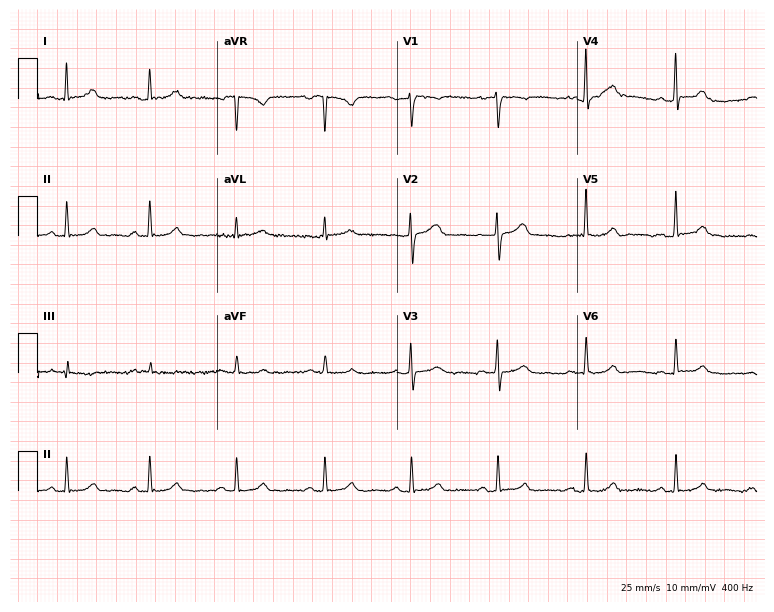
12-lead ECG (7.3-second recording at 400 Hz) from a woman, 41 years old. Labelled as a normal ECG.